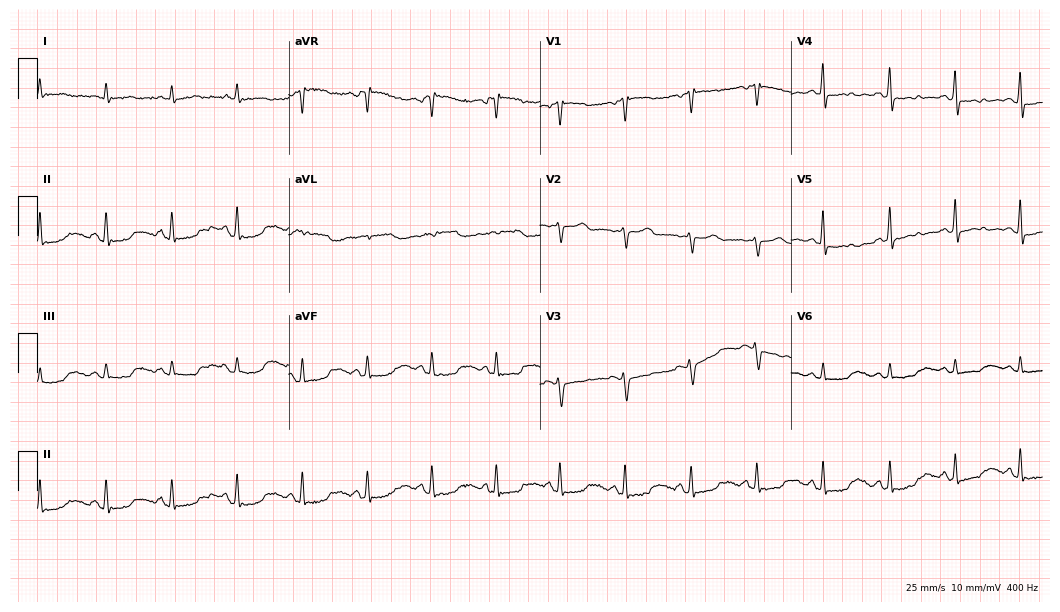
ECG — a 49-year-old female patient. Screened for six findings — first-degree AV block, right bundle branch block, left bundle branch block, sinus bradycardia, atrial fibrillation, sinus tachycardia — none is recorded. Only these six findings were labelled.